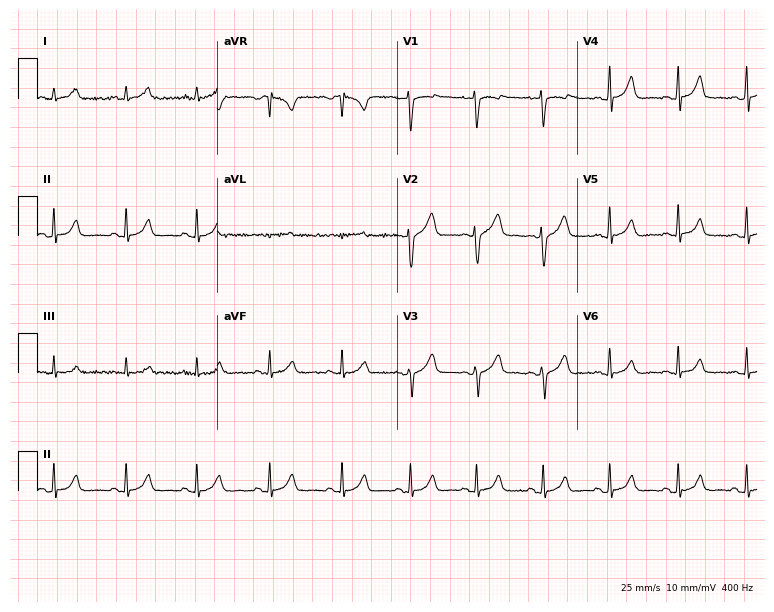
ECG — a female, 35 years old. Labelled as a normal ECG.